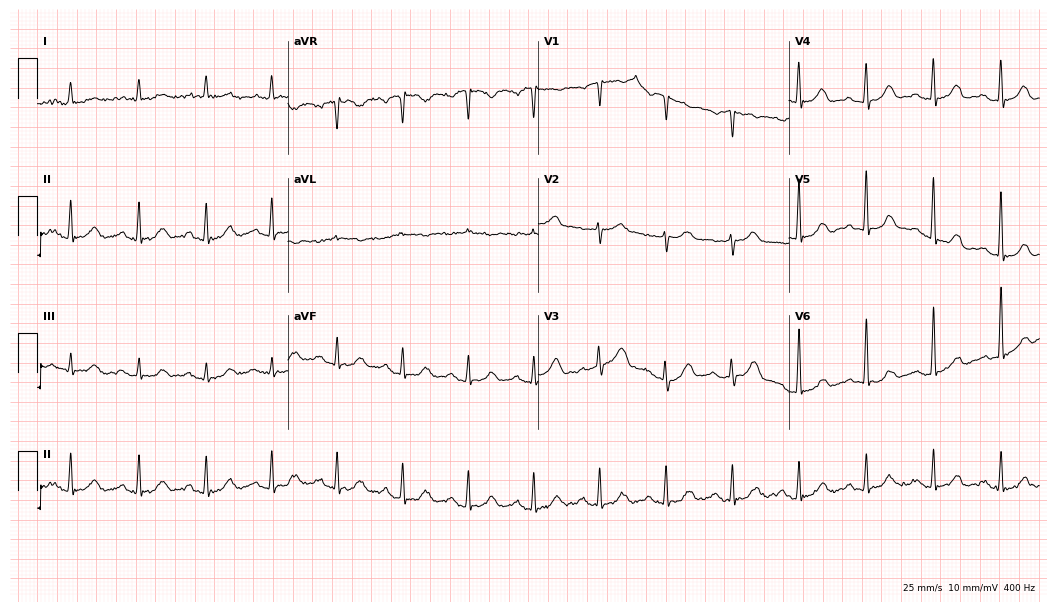
Electrocardiogram, an 80-year-old man. Interpretation includes first-degree AV block.